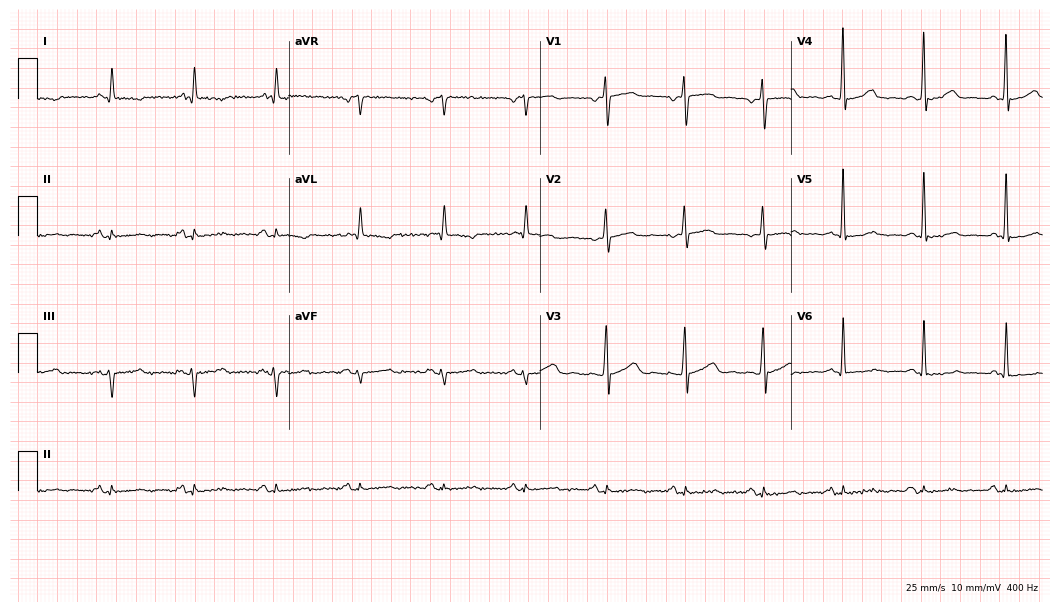
Electrocardiogram (10.2-second recording at 400 Hz), a 74-year-old female. Of the six screened findings (first-degree AV block, right bundle branch block, left bundle branch block, sinus bradycardia, atrial fibrillation, sinus tachycardia), none is recorded.